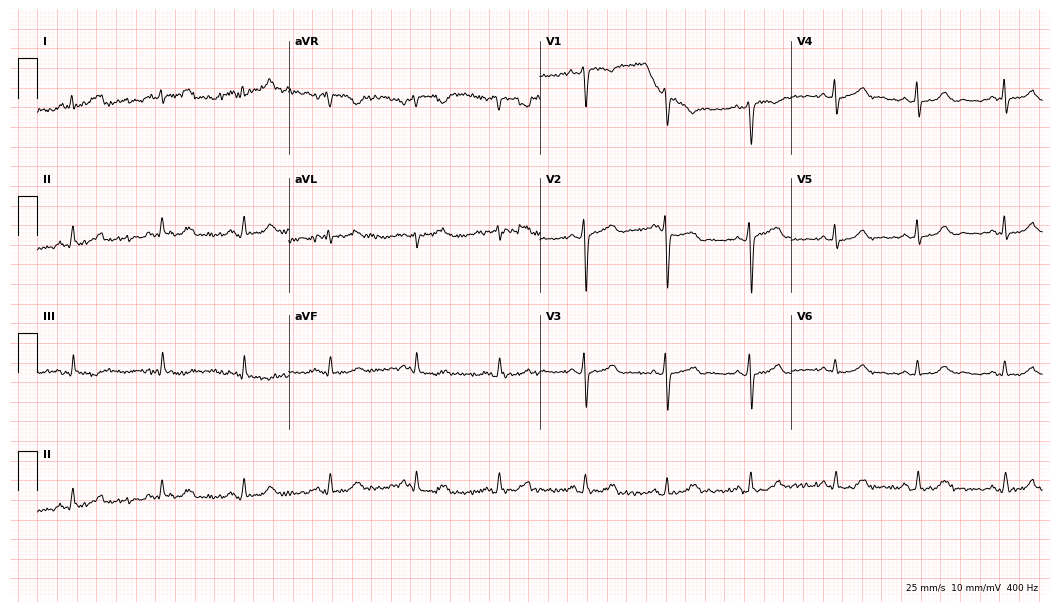
Resting 12-lead electrocardiogram. Patient: a 43-year-old female. None of these six findings is recorded: first-degree AV block, right bundle branch block, left bundle branch block, sinus bradycardia, atrial fibrillation, sinus tachycardia. Findings outside these six are not listed.